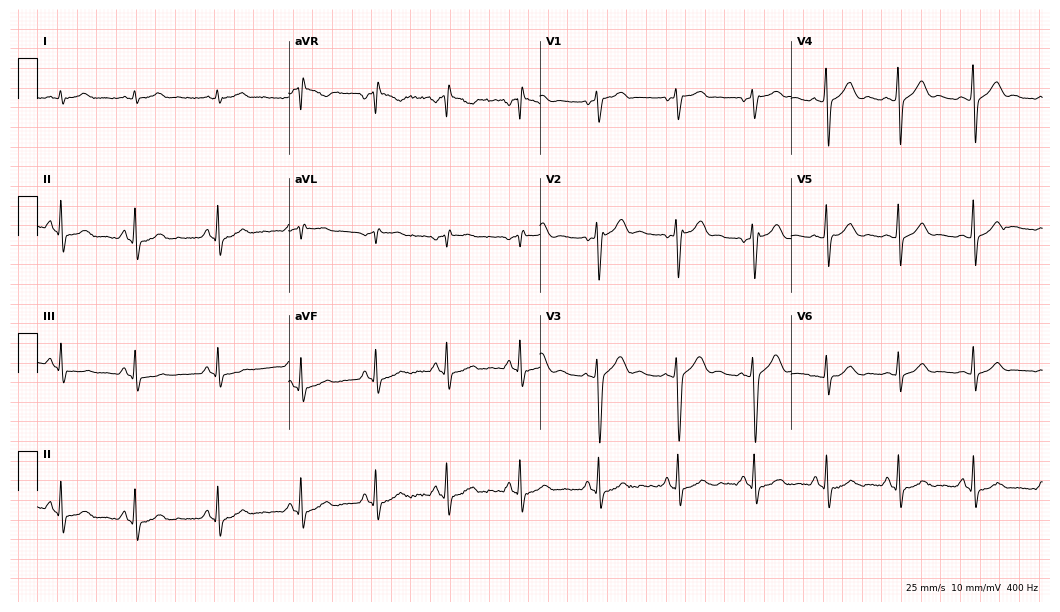
Standard 12-lead ECG recorded from an 18-year-old male (10.2-second recording at 400 Hz). Read as a normal ECG.